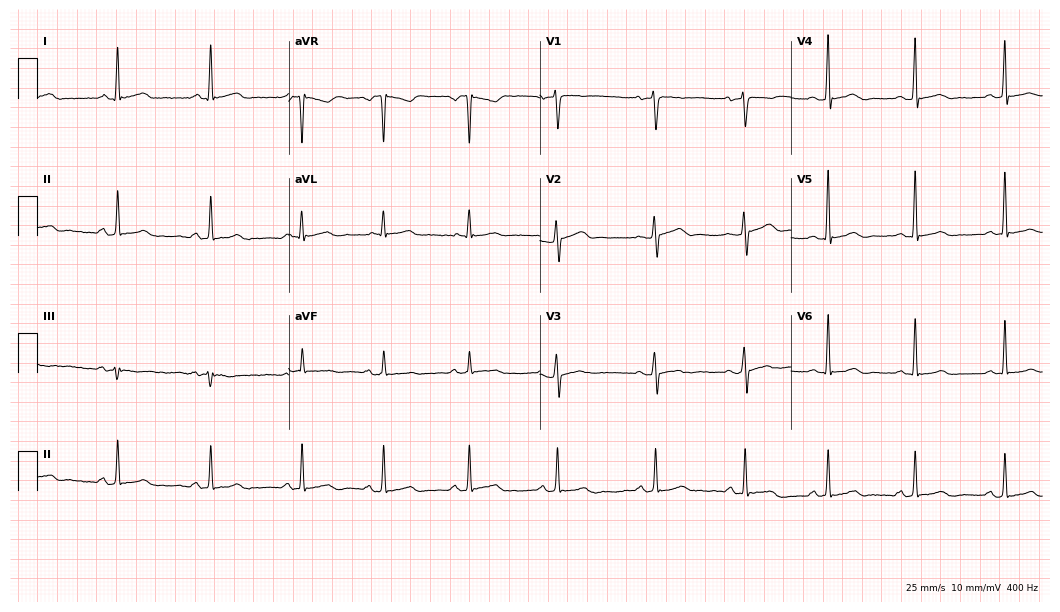
Resting 12-lead electrocardiogram. Patient: a female, 47 years old. Read as a normal ECG.